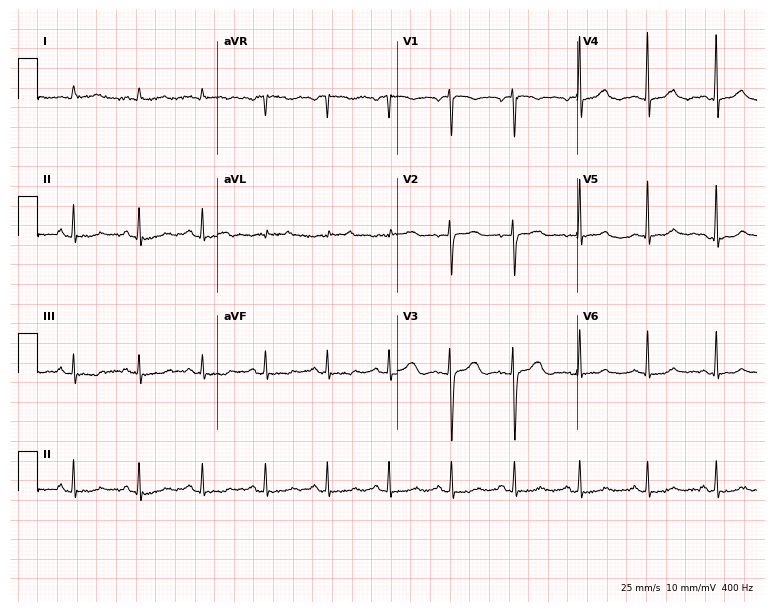
12-lead ECG from a female patient, 44 years old (7.3-second recording at 400 Hz). No first-degree AV block, right bundle branch block (RBBB), left bundle branch block (LBBB), sinus bradycardia, atrial fibrillation (AF) or sinus tachycardia recorded for this tracing.